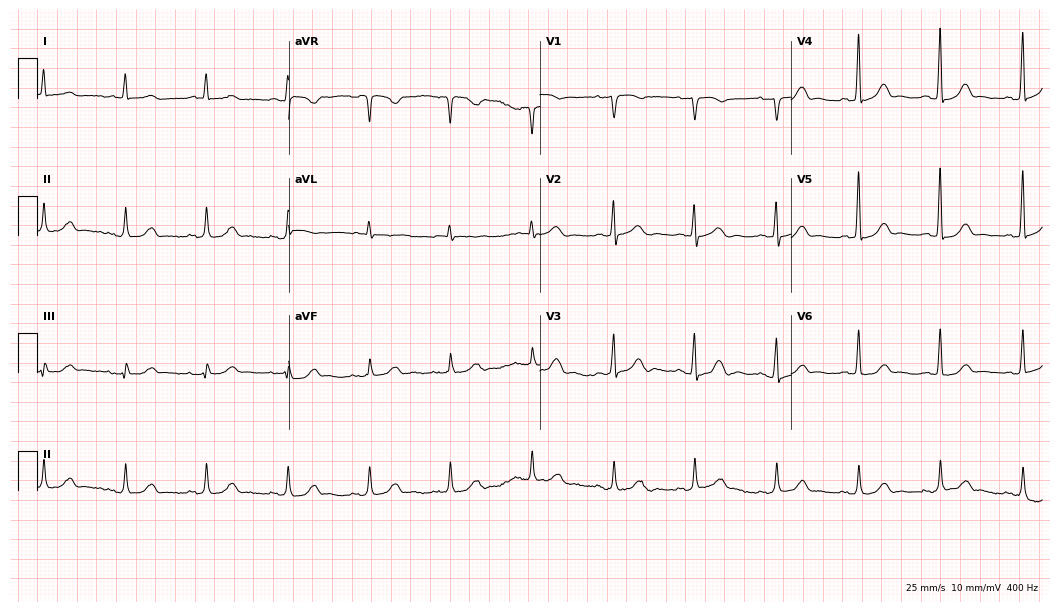
12-lead ECG from a woman, 83 years old (10.2-second recording at 400 Hz). Recorded interpretation: within normal limits.